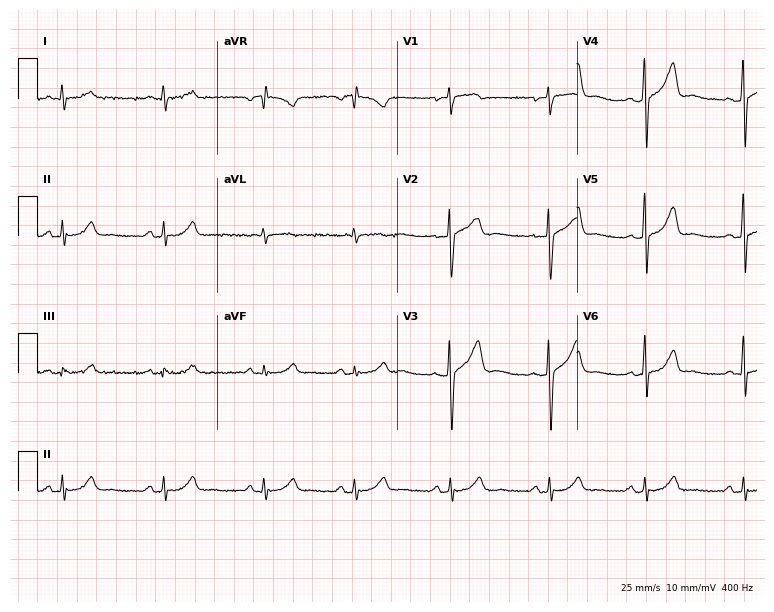
Electrocardiogram, a male patient, 52 years old. Of the six screened findings (first-degree AV block, right bundle branch block, left bundle branch block, sinus bradycardia, atrial fibrillation, sinus tachycardia), none is recorded.